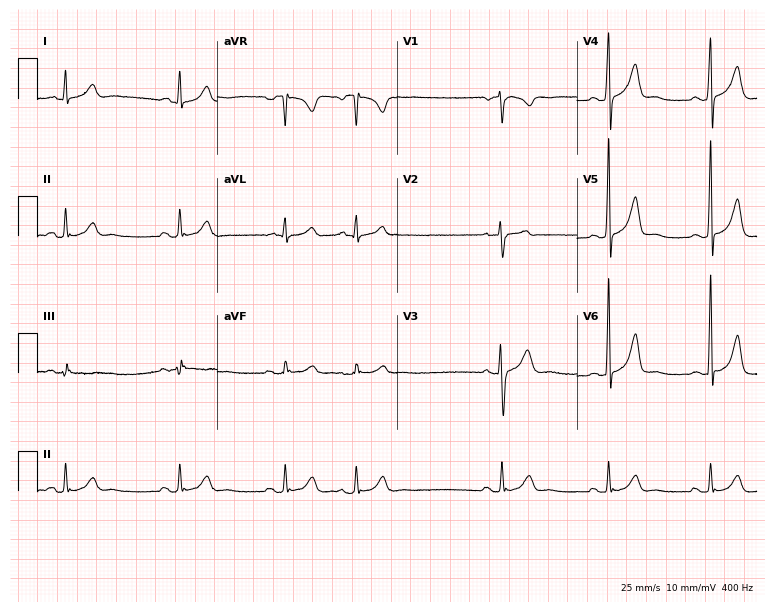
12-lead ECG (7.3-second recording at 400 Hz) from a male patient, 33 years old. Labelled as a normal ECG.